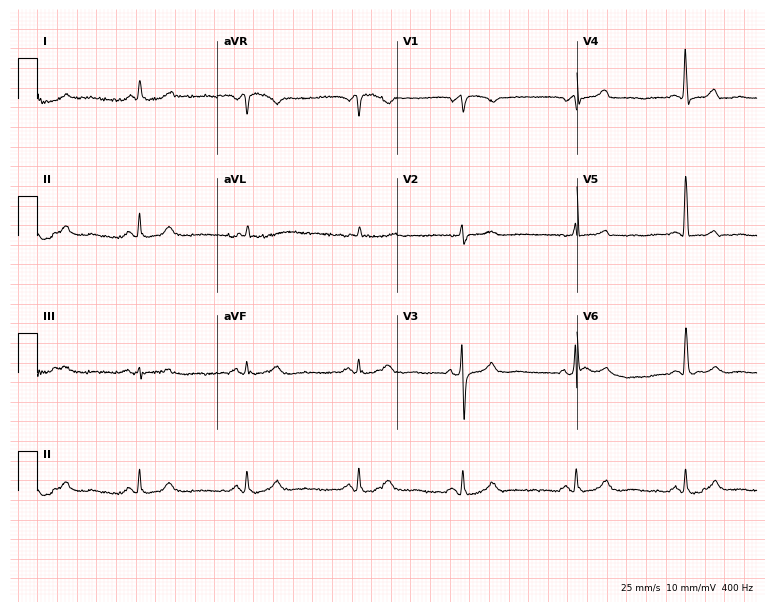
Resting 12-lead electrocardiogram (7.3-second recording at 400 Hz). Patient: a 73-year-old female. None of these six findings is recorded: first-degree AV block, right bundle branch block, left bundle branch block, sinus bradycardia, atrial fibrillation, sinus tachycardia.